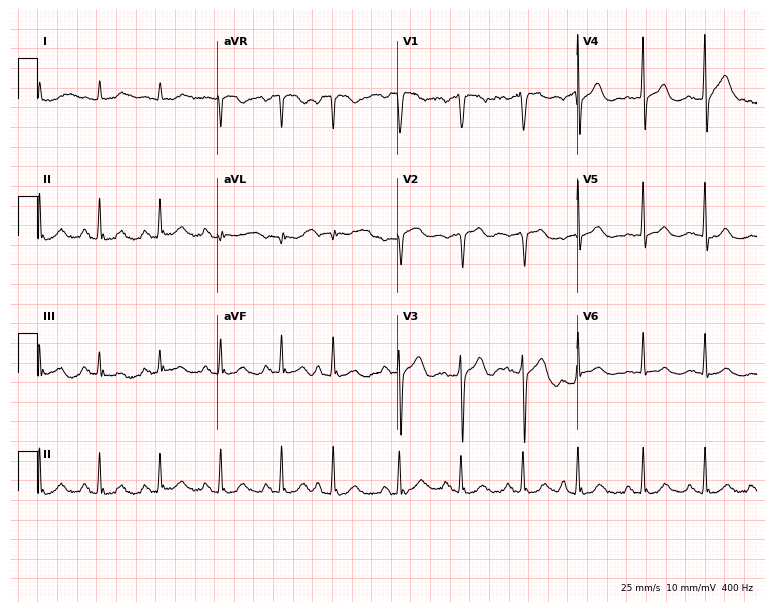
Standard 12-lead ECG recorded from a 73-year-old male. None of these six findings is recorded: first-degree AV block, right bundle branch block, left bundle branch block, sinus bradycardia, atrial fibrillation, sinus tachycardia. Only these six findings were labelled.